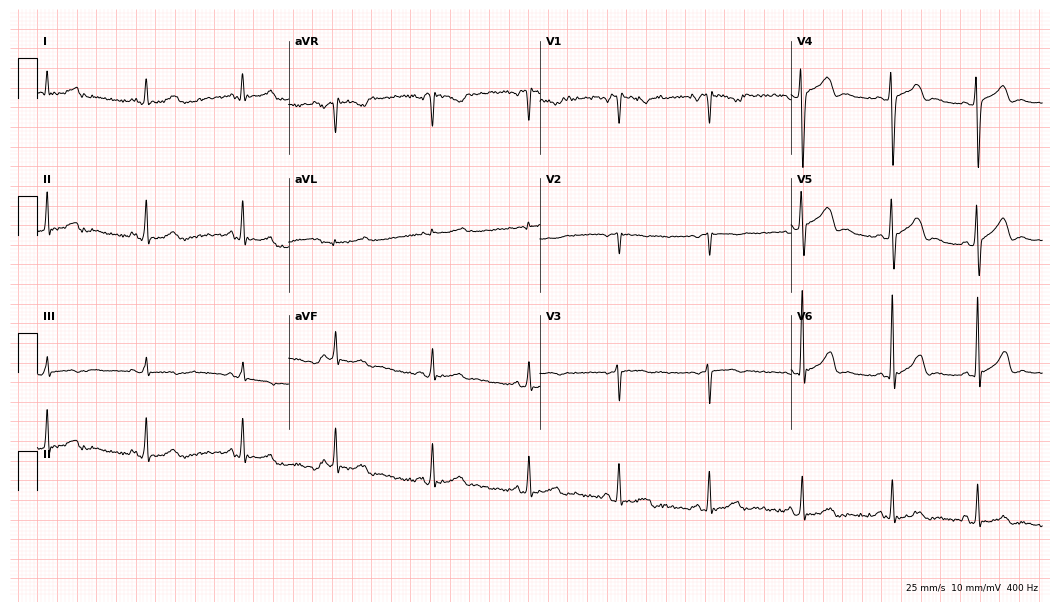
12-lead ECG (10.2-second recording at 400 Hz) from a 31-year-old male patient. Screened for six findings — first-degree AV block, right bundle branch block, left bundle branch block, sinus bradycardia, atrial fibrillation, sinus tachycardia — none is recorded. Other findings, if any, are not listed.